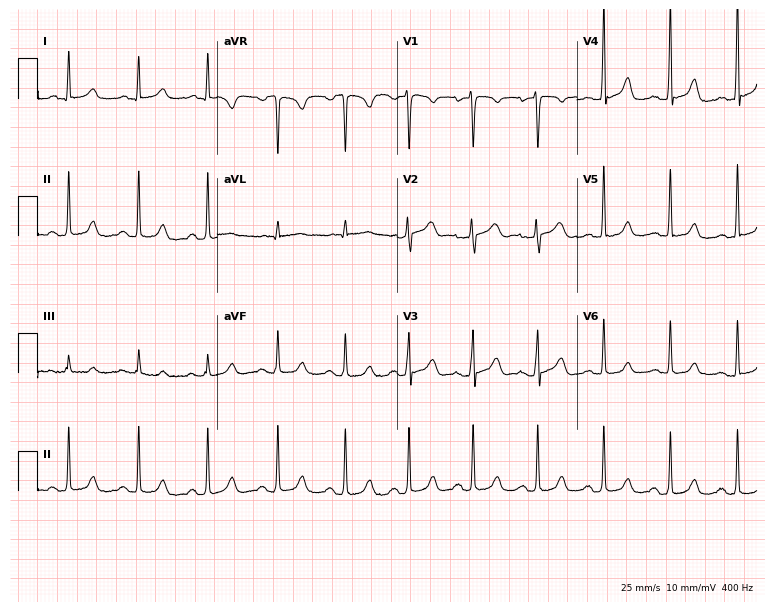
12-lead ECG from a 69-year-old female patient. Labelled as a normal ECG.